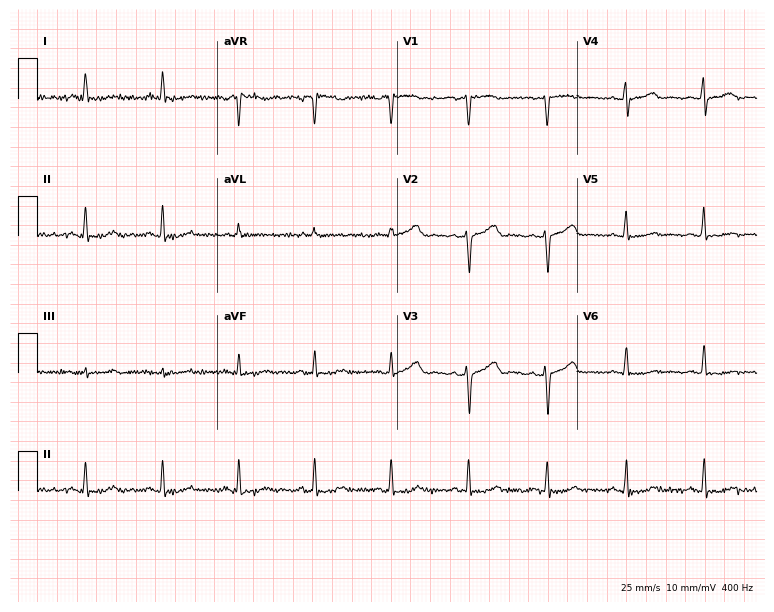
12-lead ECG from a 56-year-old female. Screened for six findings — first-degree AV block, right bundle branch block, left bundle branch block, sinus bradycardia, atrial fibrillation, sinus tachycardia — none is recorded.